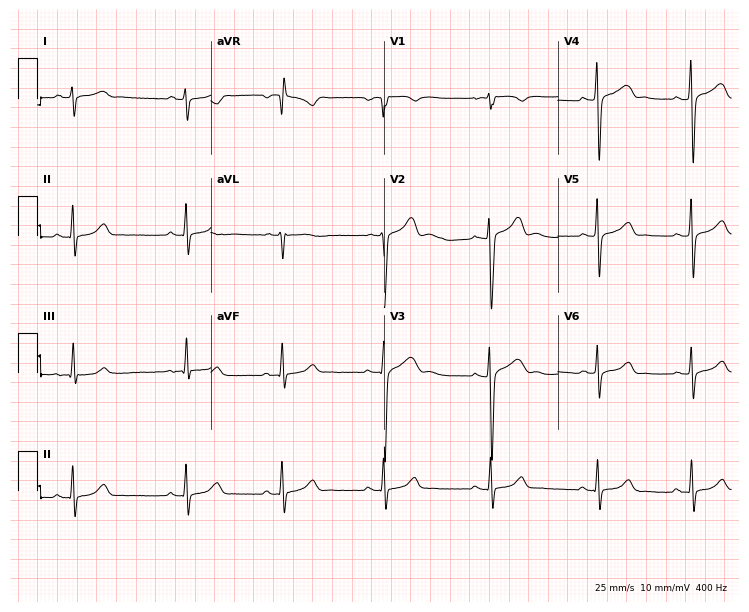
Resting 12-lead electrocardiogram (7.1-second recording at 400 Hz). Patient: a 20-year-old male. None of these six findings is recorded: first-degree AV block, right bundle branch block (RBBB), left bundle branch block (LBBB), sinus bradycardia, atrial fibrillation (AF), sinus tachycardia.